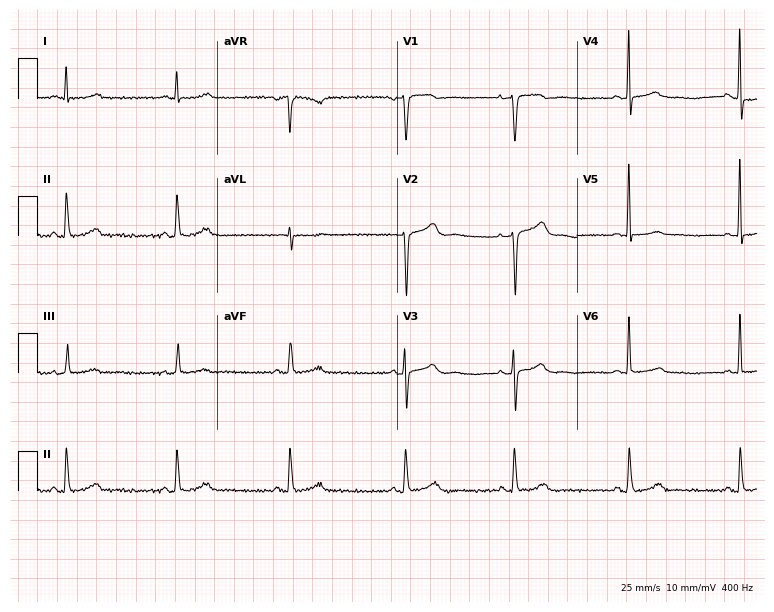
12-lead ECG from a female patient, 47 years old. Recorded interpretation: within normal limits.